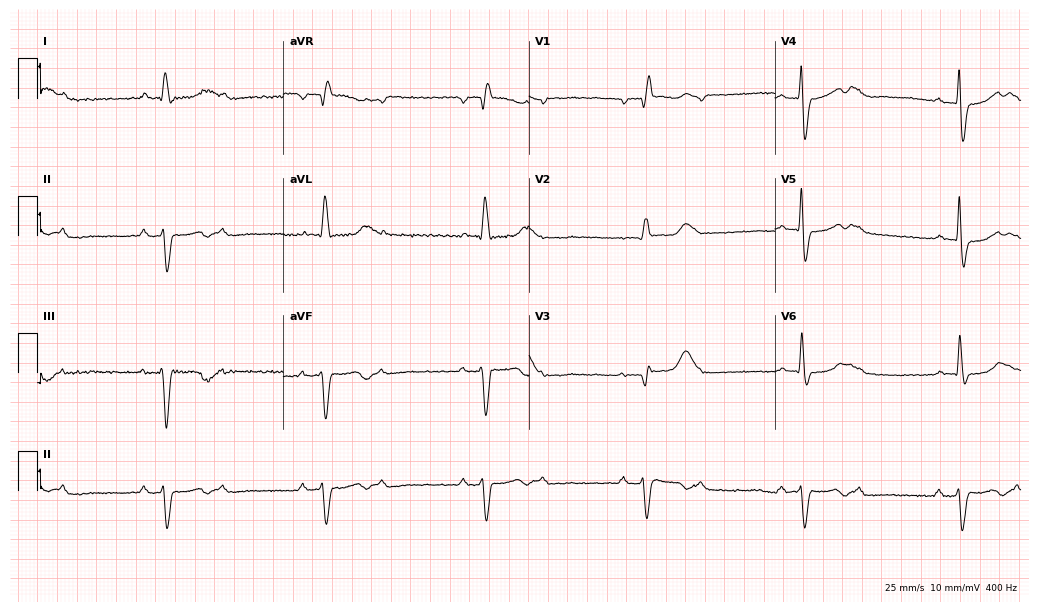
12-lead ECG from an 80-year-old male (10-second recording at 400 Hz). Shows right bundle branch block.